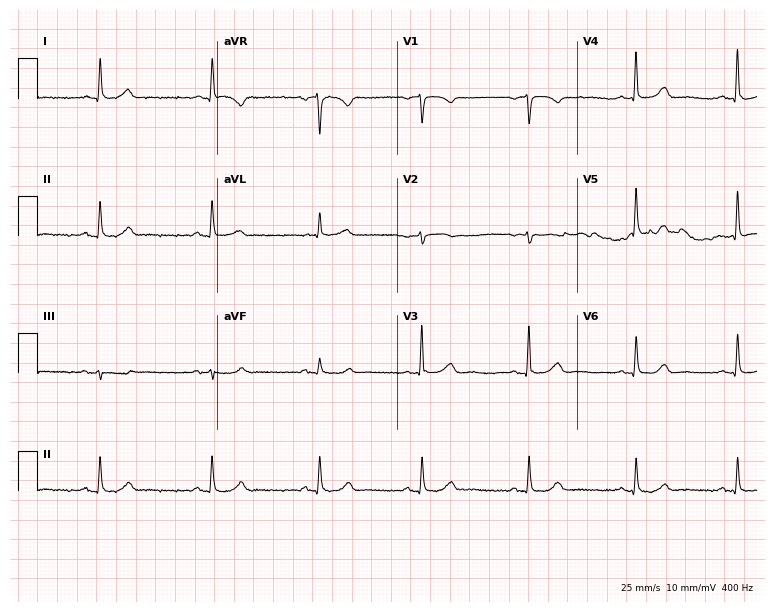
ECG — a woman, 74 years old. Labelled as a normal ECG.